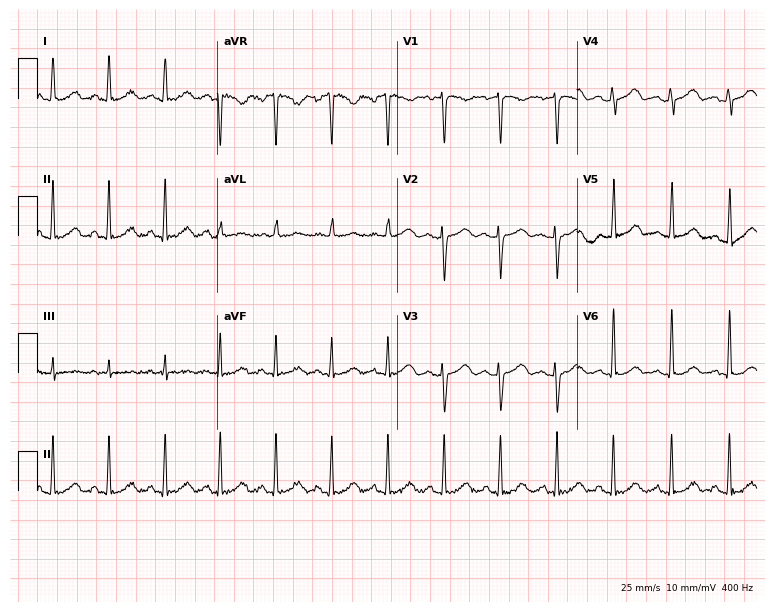
12-lead ECG from a 36-year-old woman (7.3-second recording at 400 Hz). Shows sinus tachycardia (a sinus rate of 100 beats per minute or more).